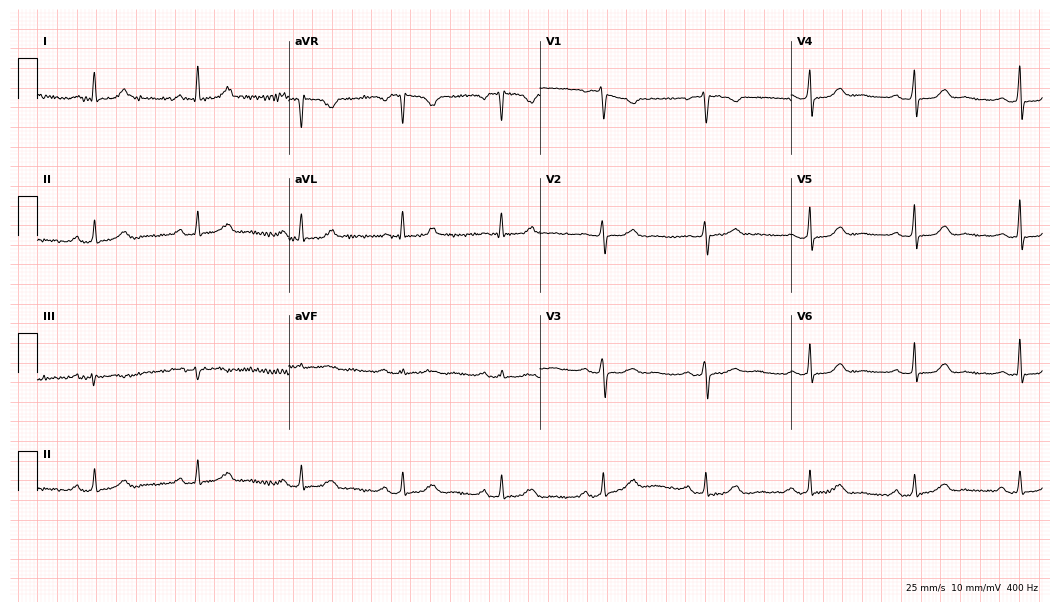
12-lead ECG from a 53-year-old female patient. Labelled as a normal ECG.